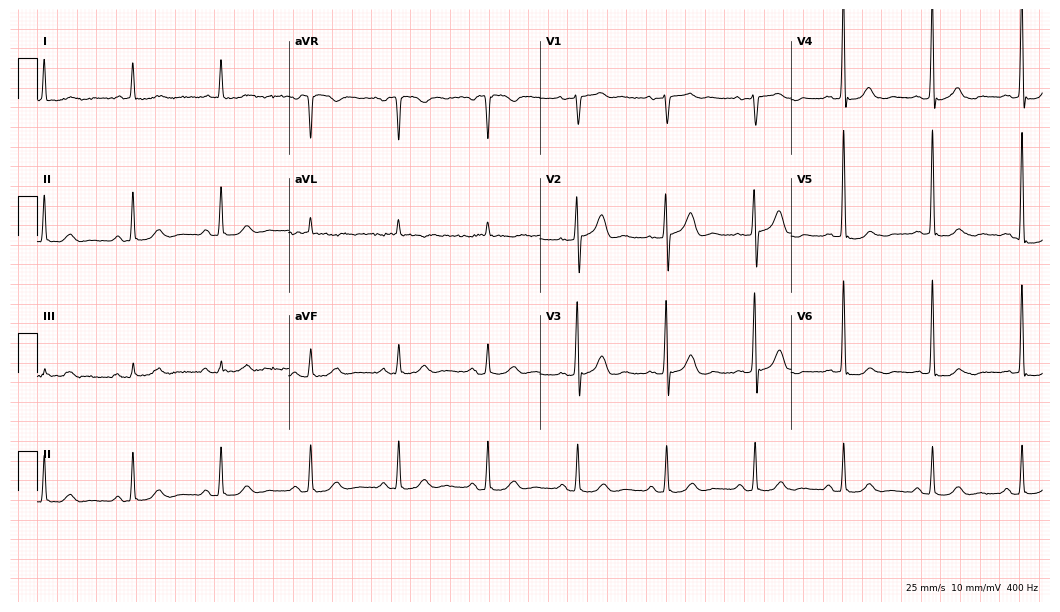
Resting 12-lead electrocardiogram (10.2-second recording at 400 Hz). Patient: a 66-year-old male. None of these six findings is recorded: first-degree AV block, right bundle branch block, left bundle branch block, sinus bradycardia, atrial fibrillation, sinus tachycardia.